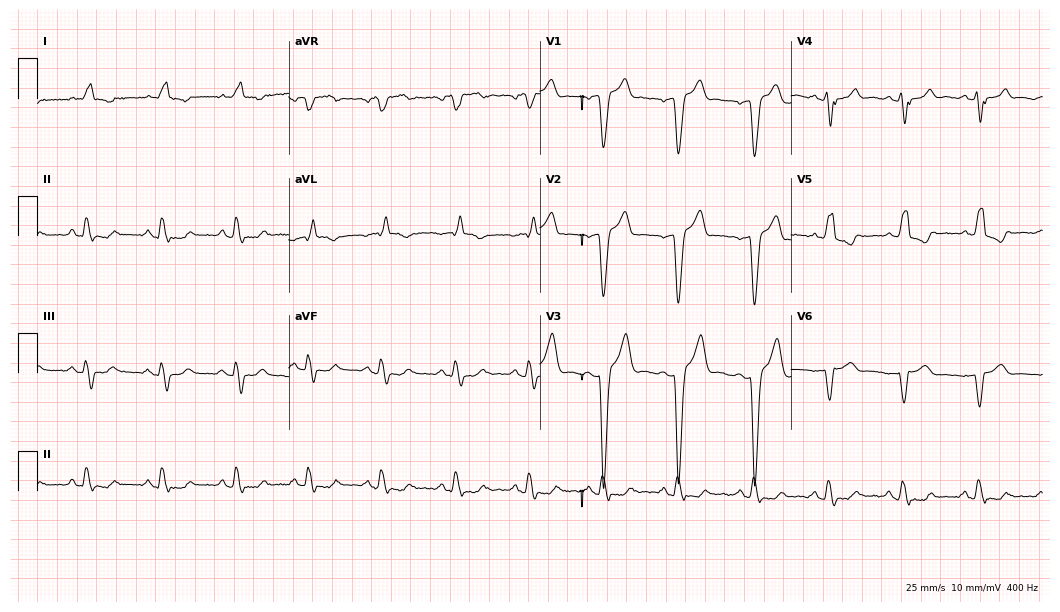
12-lead ECG from a male, 68 years old. No first-degree AV block, right bundle branch block, left bundle branch block, sinus bradycardia, atrial fibrillation or sinus tachycardia recorded for this tracing. Other findings, if any, are not listed.